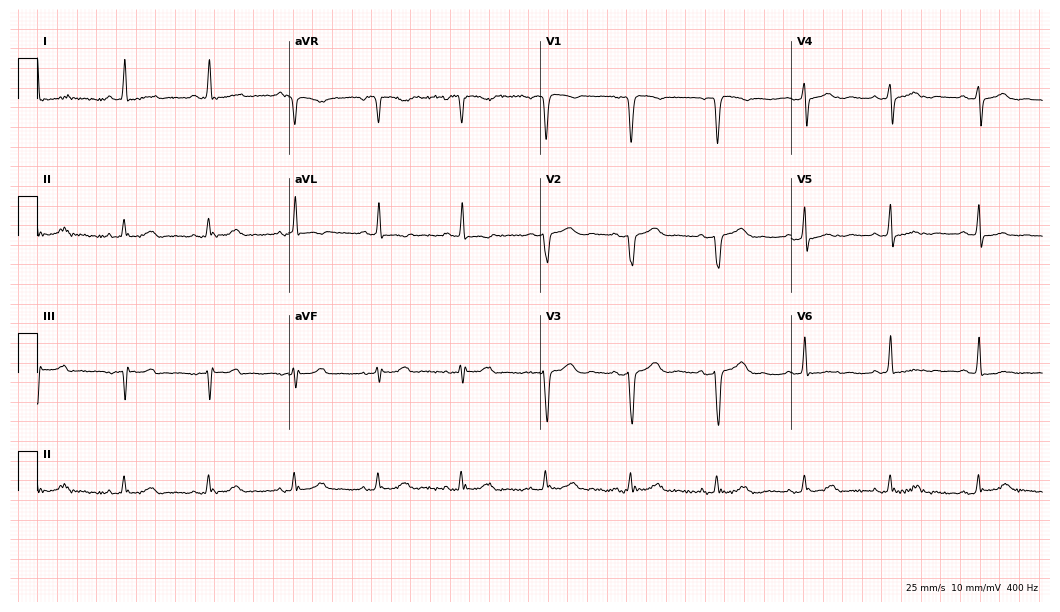
ECG (10.2-second recording at 400 Hz) — a 55-year-old female patient. Screened for six findings — first-degree AV block, right bundle branch block (RBBB), left bundle branch block (LBBB), sinus bradycardia, atrial fibrillation (AF), sinus tachycardia — none is recorded. Other findings, if any, are not listed.